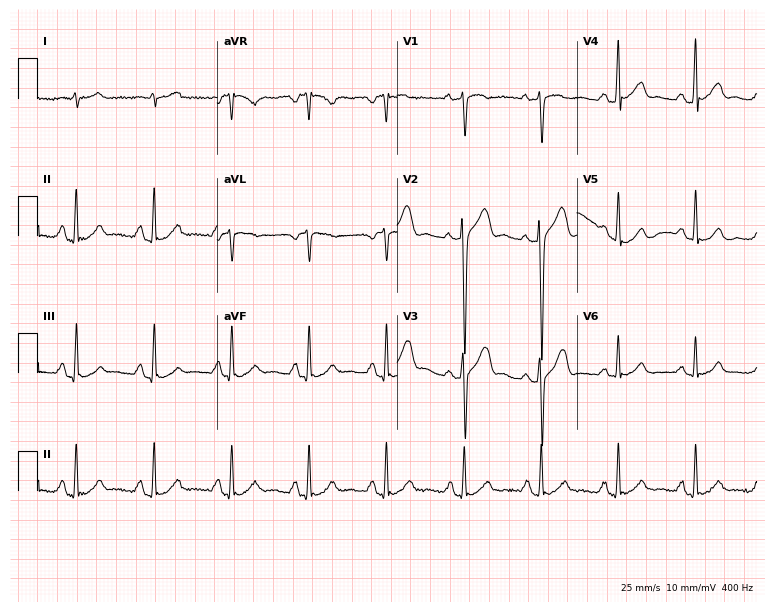
12-lead ECG from a 44-year-old male. No first-degree AV block, right bundle branch block (RBBB), left bundle branch block (LBBB), sinus bradycardia, atrial fibrillation (AF) or sinus tachycardia recorded for this tracing.